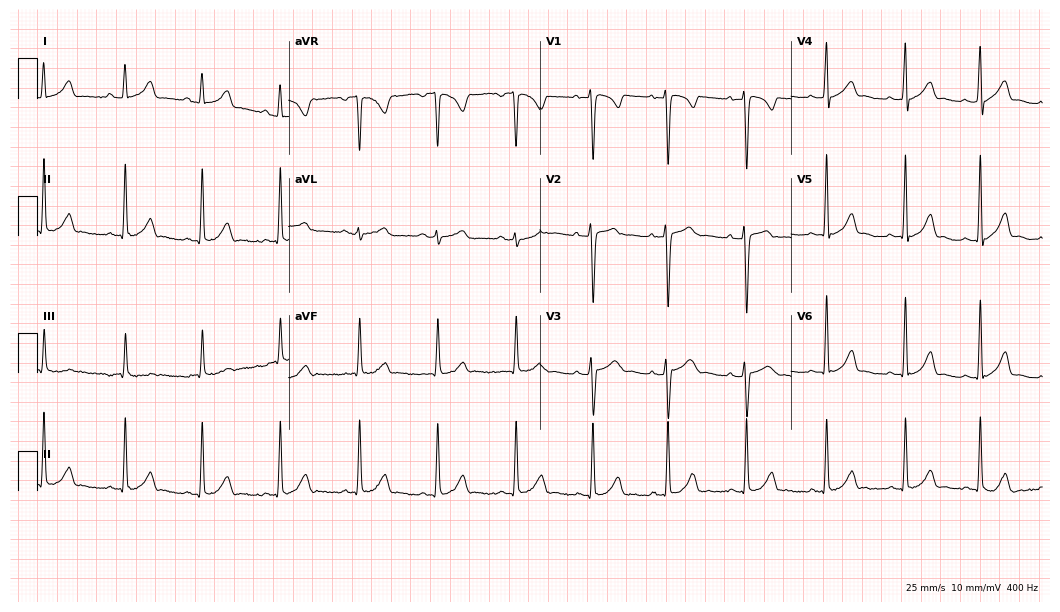
12-lead ECG from a 25-year-old female. Recorded interpretation: within normal limits.